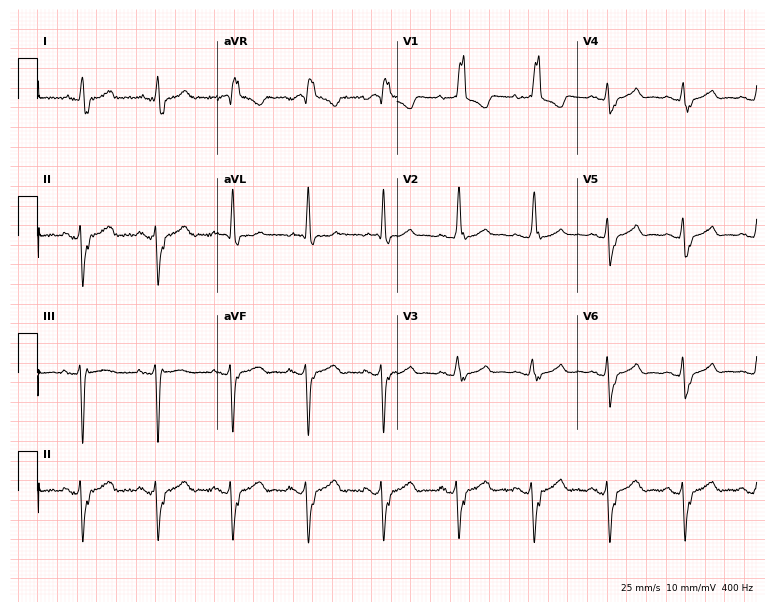
12-lead ECG from a female patient, 84 years old (7.3-second recording at 400 Hz). Shows right bundle branch block.